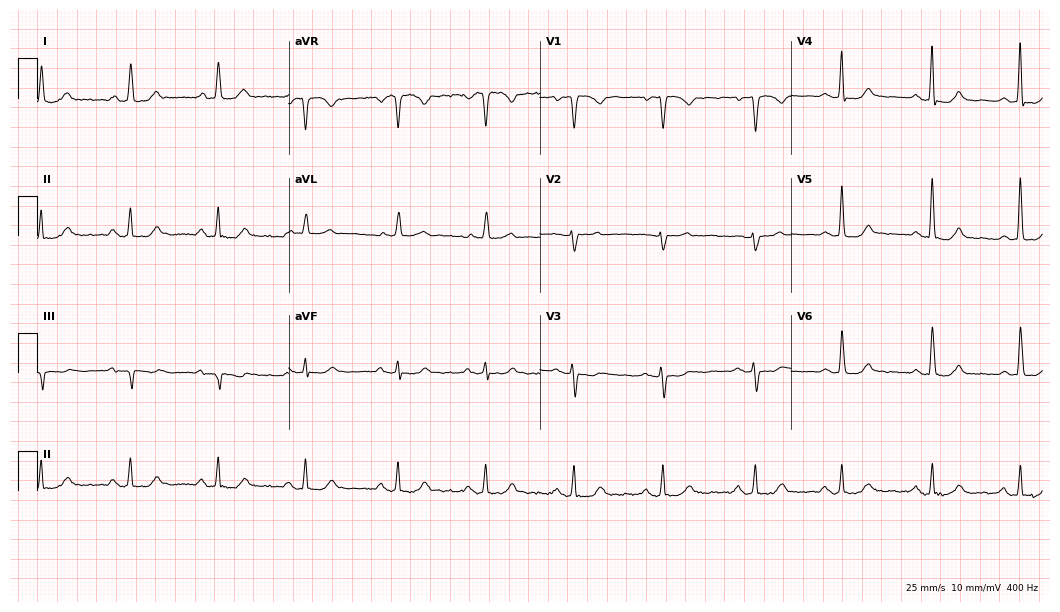
12-lead ECG from a 64-year-old female (10.2-second recording at 400 Hz). No first-degree AV block, right bundle branch block (RBBB), left bundle branch block (LBBB), sinus bradycardia, atrial fibrillation (AF) or sinus tachycardia recorded for this tracing. Other findings, if any, are not listed.